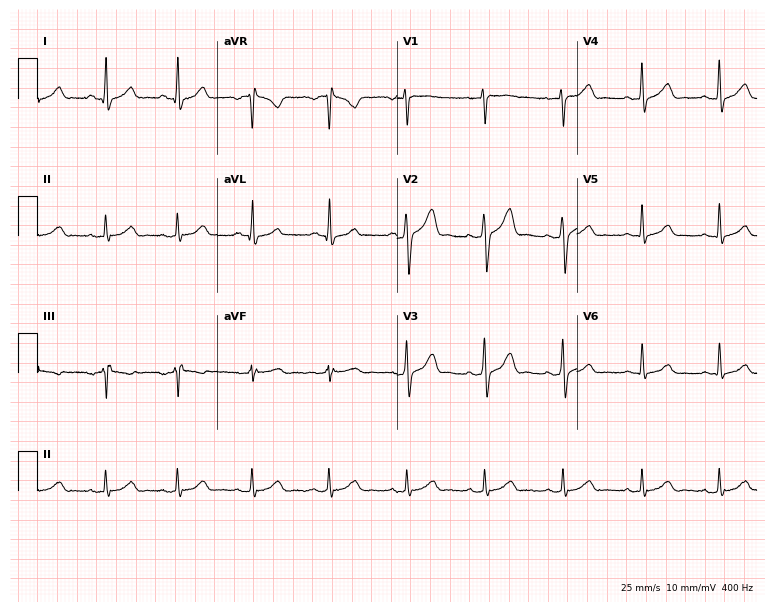
Standard 12-lead ECG recorded from a female, 44 years old (7.3-second recording at 400 Hz). Read as a normal ECG.